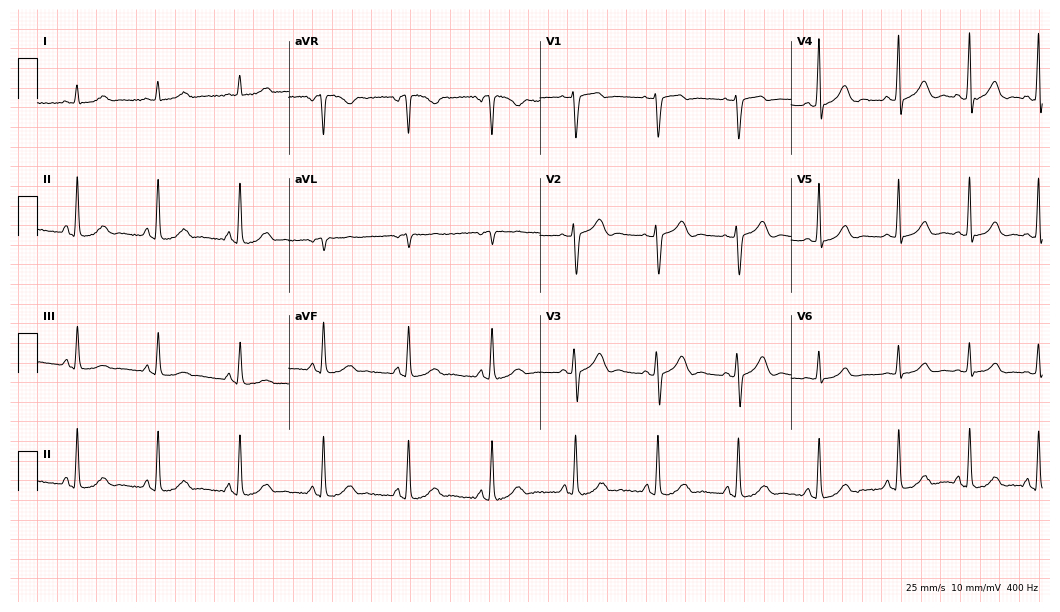
Electrocardiogram, a 52-year-old female patient. Overall reading on record: normal ECG.